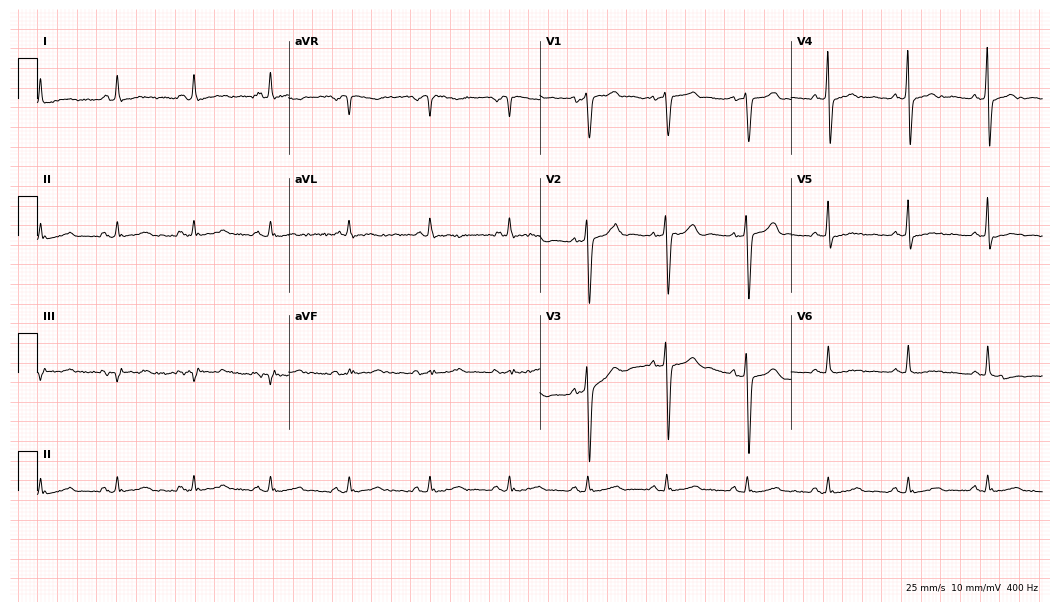
12-lead ECG from a woman, 64 years old. Screened for six findings — first-degree AV block, right bundle branch block, left bundle branch block, sinus bradycardia, atrial fibrillation, sinus tachycardia — none is recorded. Findings outside these six are not listed.